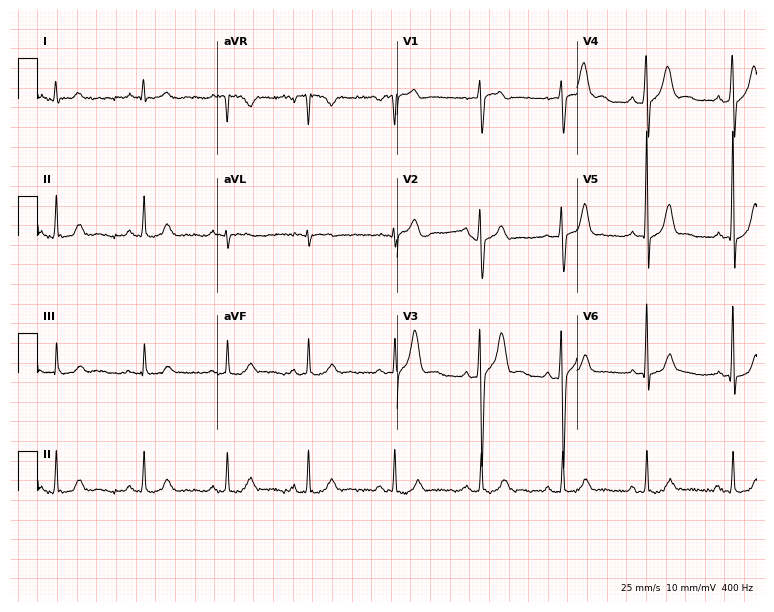
12-lead ECG from a male, 25 years old. Screened for six findings — first-degree AV block, right bundle branch block, left bundle branch block, sinus bradycardia, atrial fibrillation, sinus tachycardia — none is recorded.